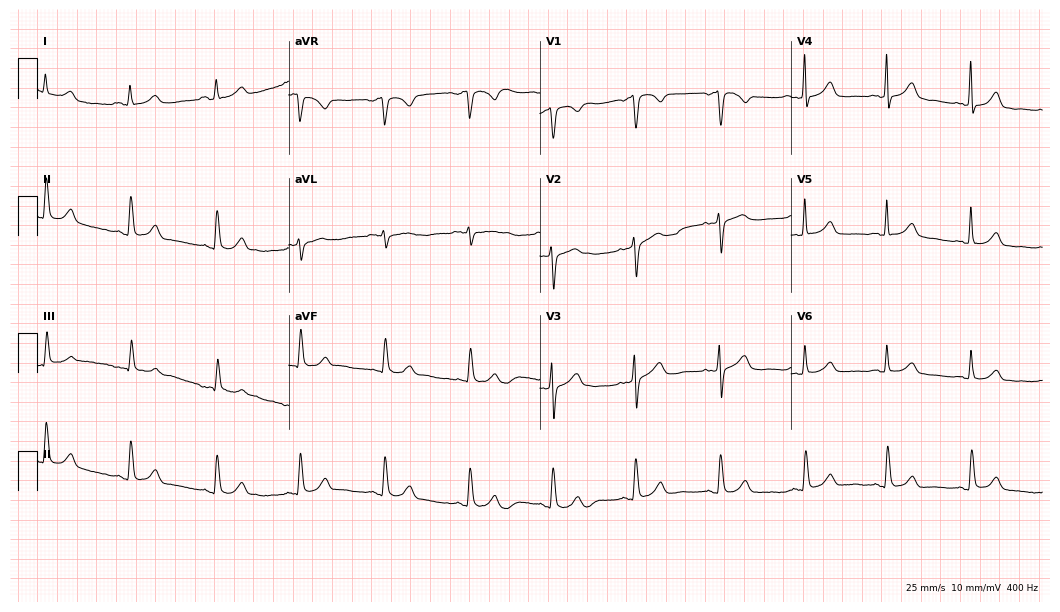
ECG — a female patient, 65 years old. Labelled as a normal ECG.